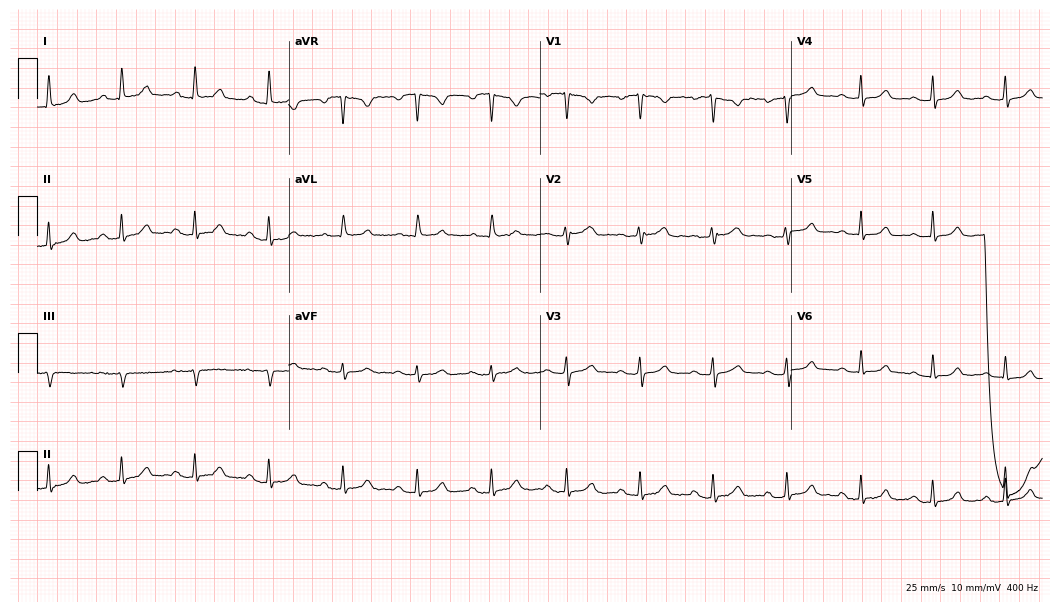
ECG (10.2-second recording at 400 Hz) — a 40-year-old female patient. Labelled as a normal ECG.